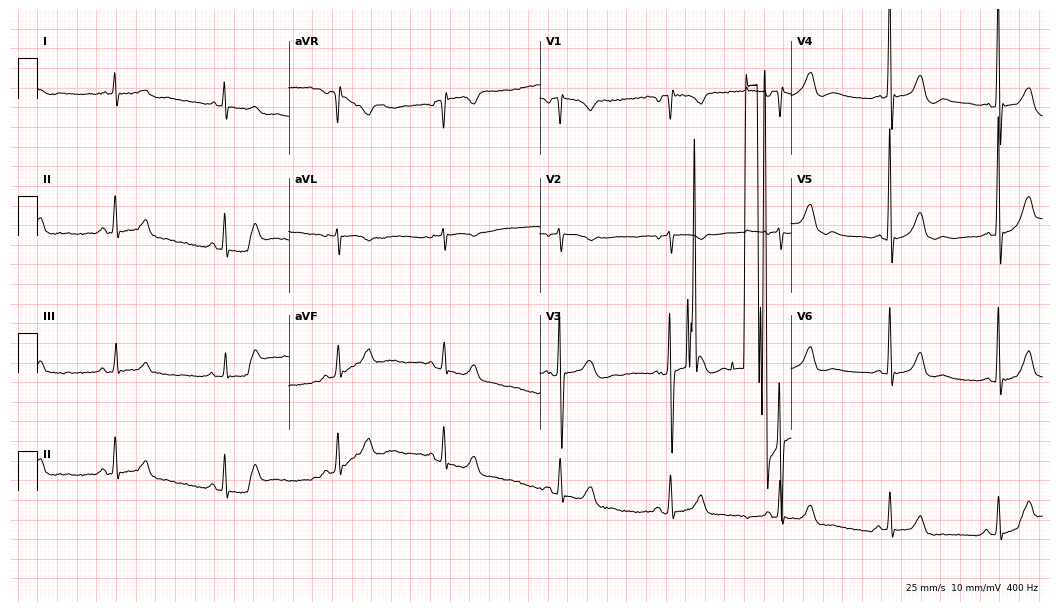
12-lead ECG from a 65-year-old male patient (10.2-second recording at 400 Hz). Recorded interpretation: within normal limits.